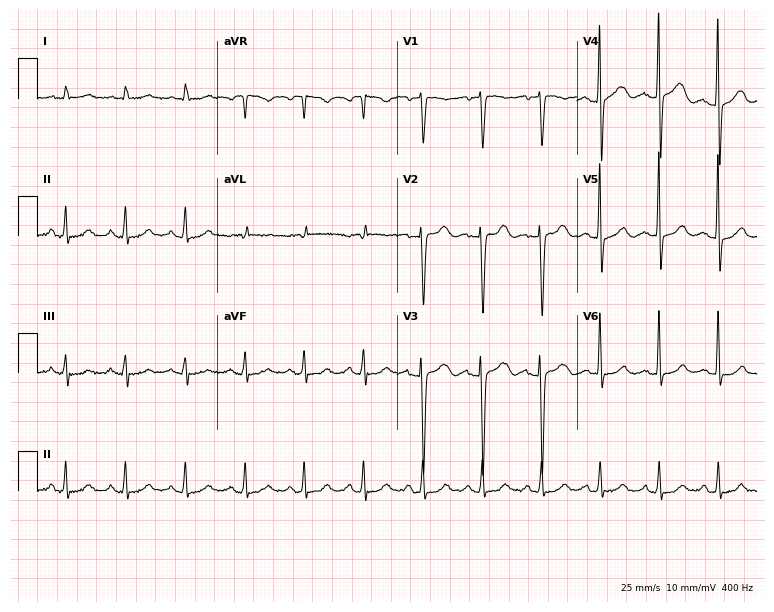
Resting 12-lead electrocardiogram. Patient: a female, 46 years old. Read as a normal ECG.